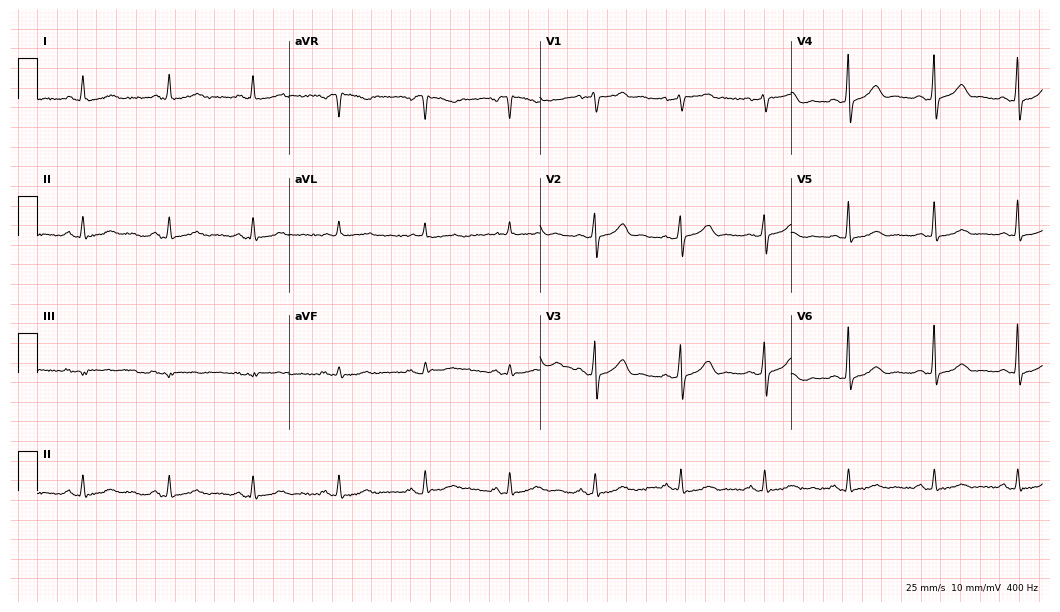
12-lead ECG from a 55-year-old woman (10.2-second recording at 400 Hz). No first-degree AV block, right bundle branch block, left bundle branch block, sinus bradycardia, atrial fibrillation or sinus tachycardia recorded for this tracing. Findings outside these six are not listed.